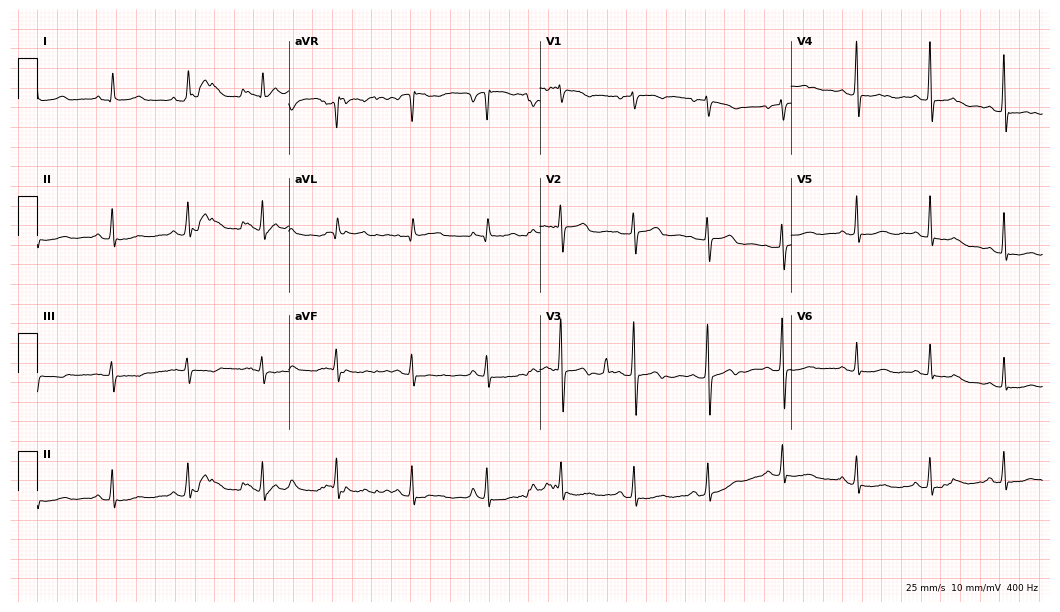
Electrocardiogram (10.2-second recording at 400 Hz), a male, 65 years old. Of the six screened findings (first-degree AV block, right bundle branch block, left bundle branch block, sinus bradycardia, atrial fibrillation, sinus tachycardia), none is recorded. Other findings, if any, are not listed.